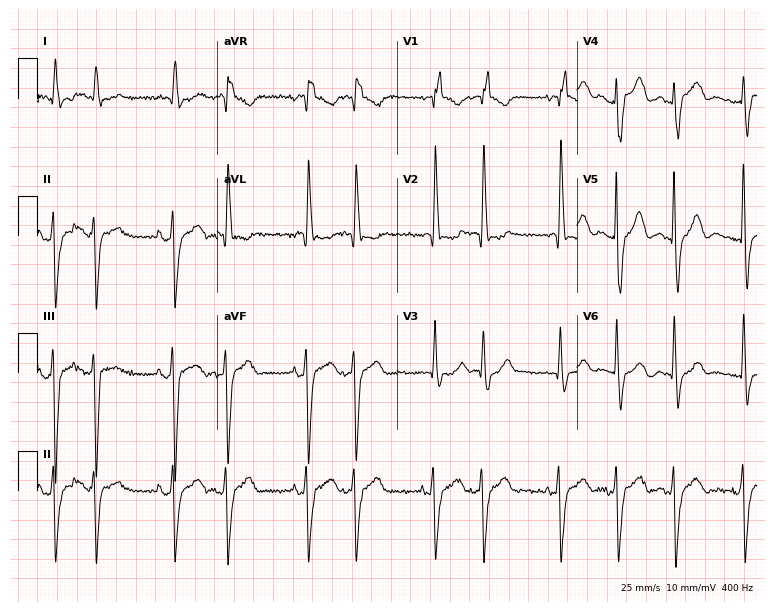
Resting 12-lead electrocardiogram (7.3-second recording at 400 Hz). Patient: a 65-year-old woman. None of these six findings is recorded: first-degree AV block, right bundle branch block, left bundle branch block, sinus bradycardia, atrial fibrillation, sinus tachycardia. Other findings, if any, are not listed.